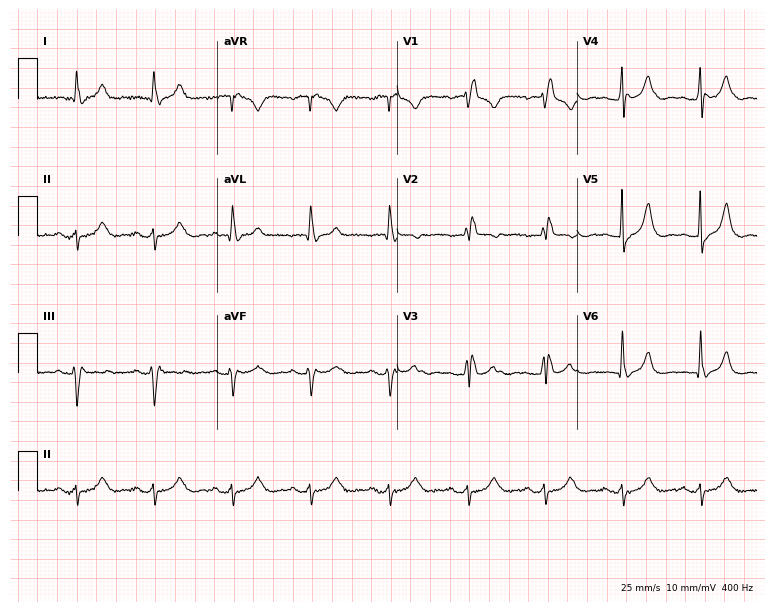
Standard 12-lead ECG recorded from an 80-year-old female patient. The tracing shows right bundle branch block (RBBB).